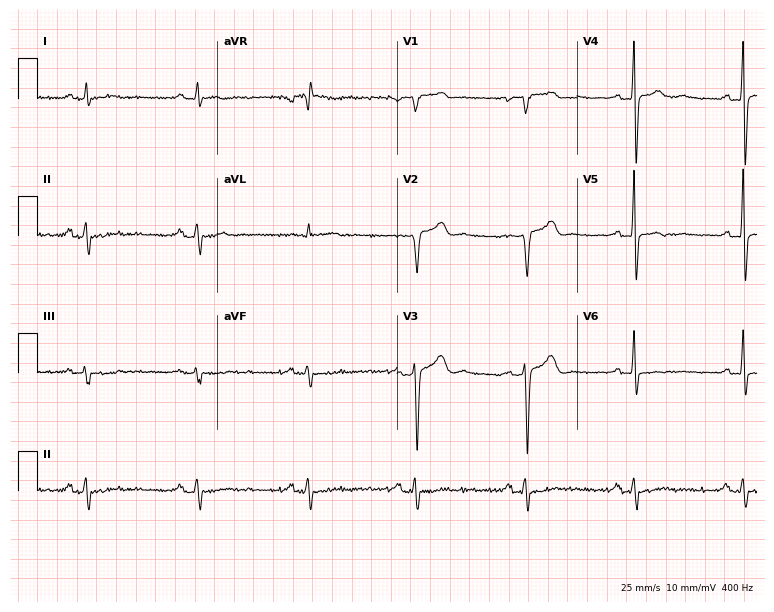
ECG — a 46-year-old male patient. Screened for six findings — first-degree AV block, right bundle branch block, left bundle branch block, sinus bradycardia, atrial fibrillation, sinus tachycardia — none is recorded. Only these six findings were labelled.